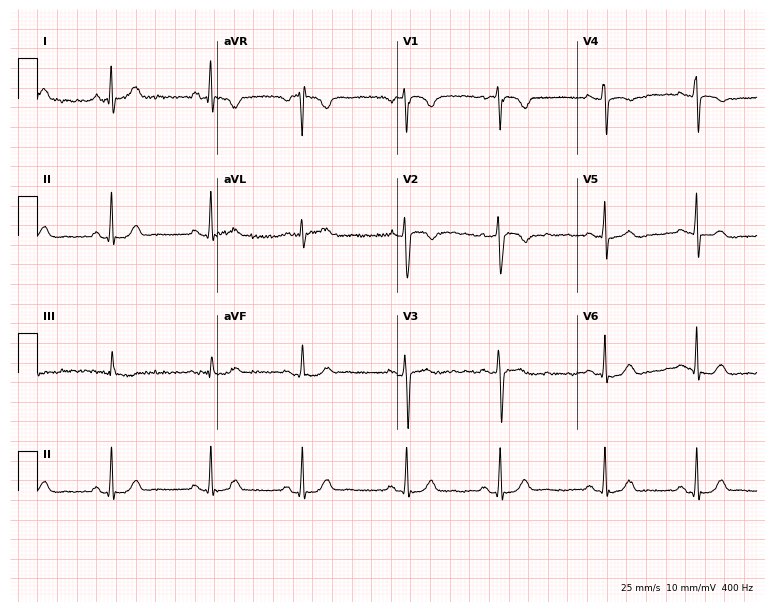
Standard 12-lead ECG recorded from a 29-year-old female (7.3-second recording at 400 Hz). Read as a normal ECG.